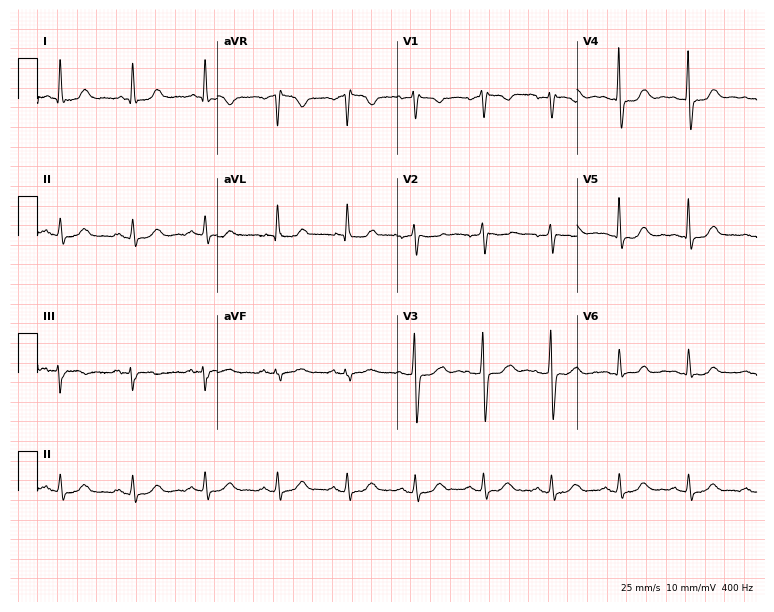
Standard 12-lead ECG recorded from a 55-year-old female. Read as a normal ECG.